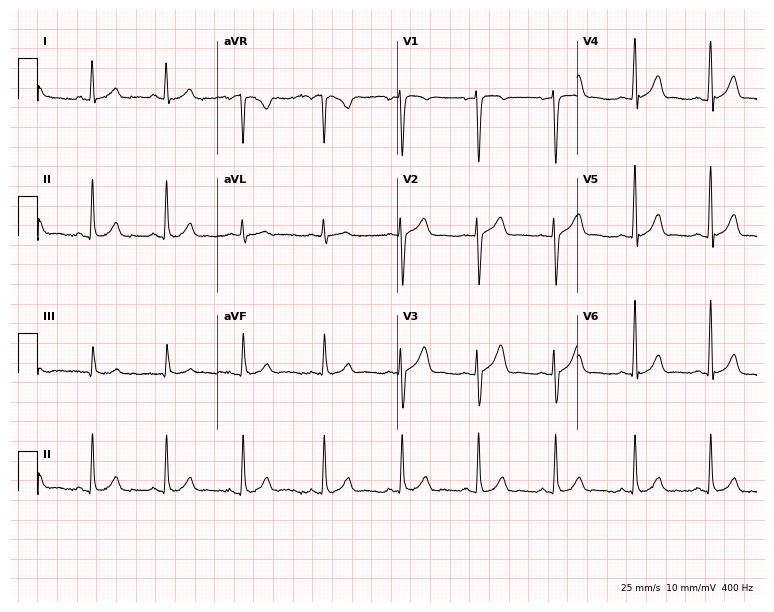
Standard 12-lead ECG recorded from a male patient, 32 years old. Read as a normal ECG.